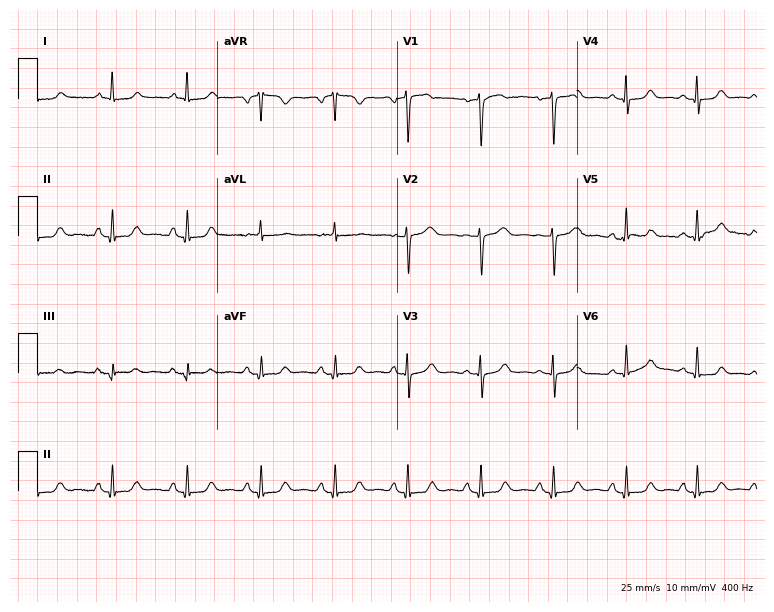
Electrocardiogram, a woman, 62 years old. Overall reading on record: normal ECG.